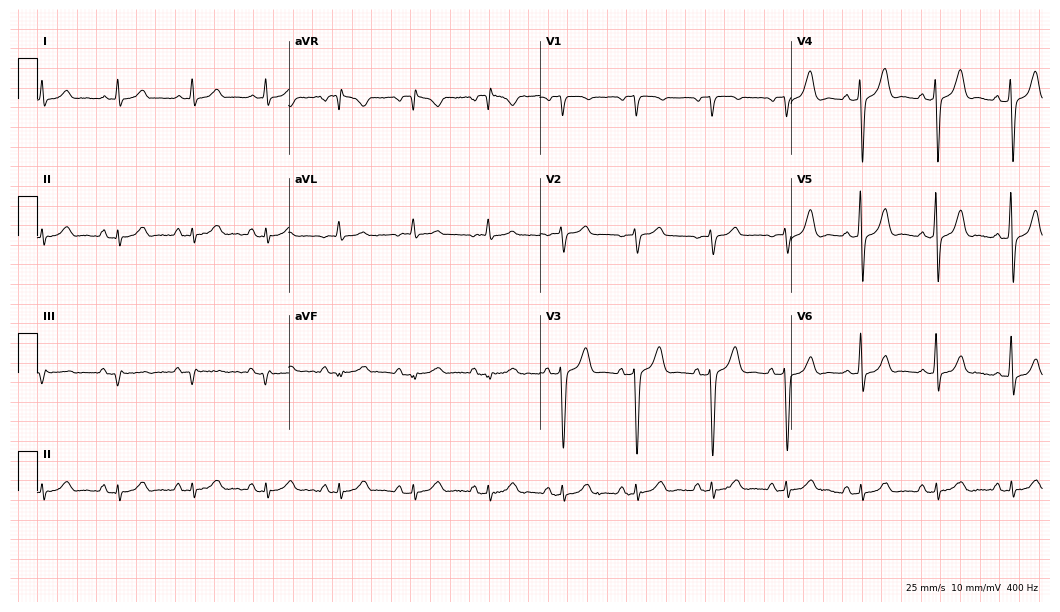
ECG (10.2-second recording at 400 Hz) — an 85-year-old man. Screened for six findings — first-degree AV block, right bundle branch block (RBBB), left bundle branch block (LBBB), sinus bradycardia, atrial fibrillation (AF), sinus tachycardia — none is recorded. Other findings, if any, are not listed.